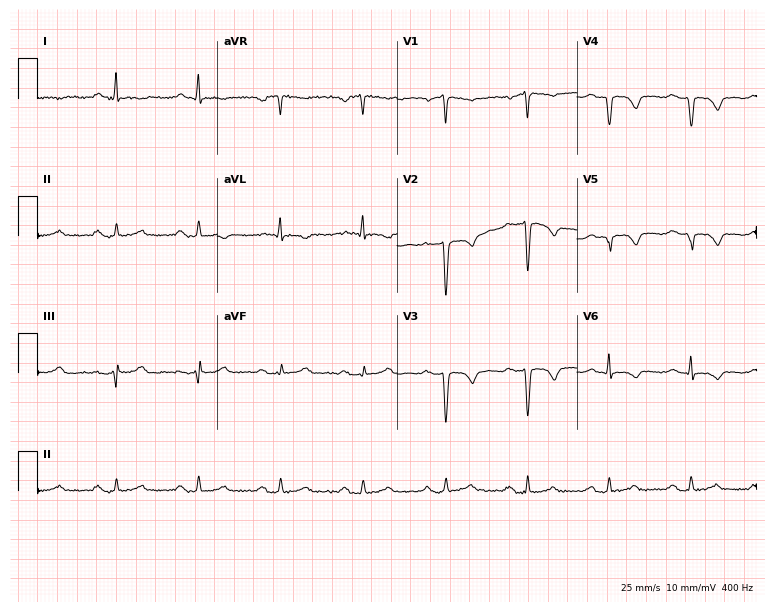
12-lead ECG (7.3-second recording at 400 Hz) from a 62-year-old man. Screened for six findings — first-degree AV block, right bundle branch block, left bundle branch block, sinus bradycardia, atrial fibrillation, sinus tachycardia — none is recorded.